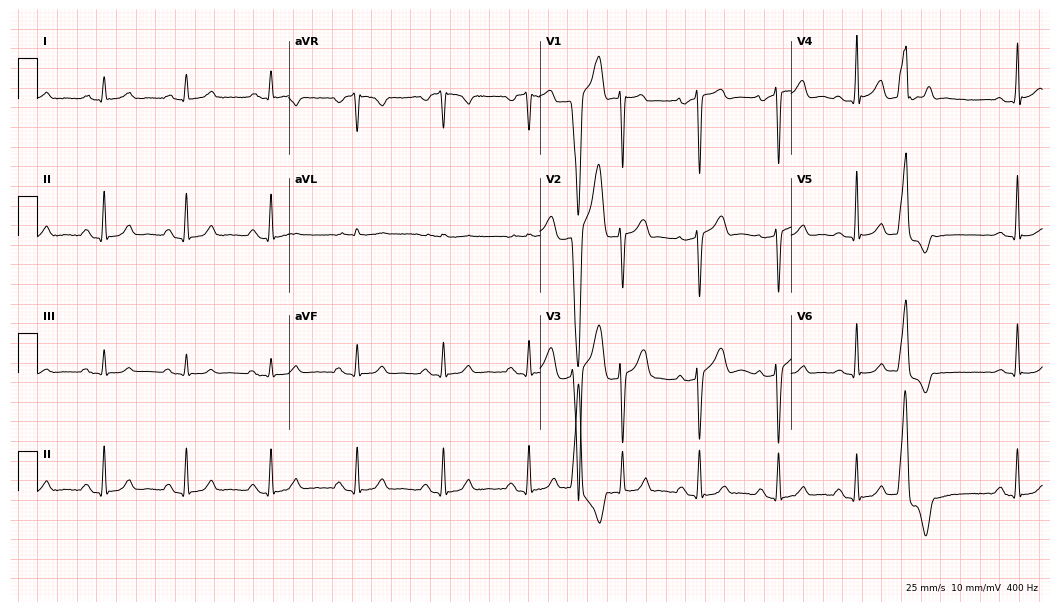
Electrocardiogram, a man, 54 years old. Of the six screened findings (first-degree AV block, right bundle branch block, left bundle branch block, sinus bradycardia, atrial fibrillation, sinus tachycardia), none is recorded. Only these six findings were labelled.